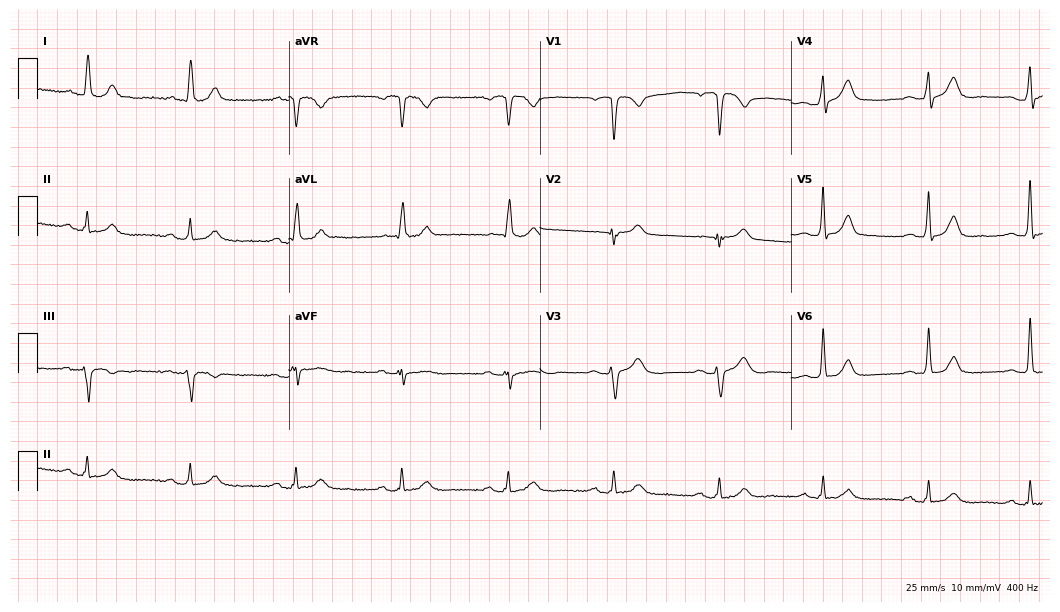
Resting 12-lead electrocardiogram (10.2-second recording at 400 Hz). Patient: a 73-year-old male. None of these six findings is recorded: first-degree AV block, right bundle branch block, left bundle branch block, sinus bradycardia, atrial fibrillation, sinus tachycardia. Other findings, if any, are not listed.